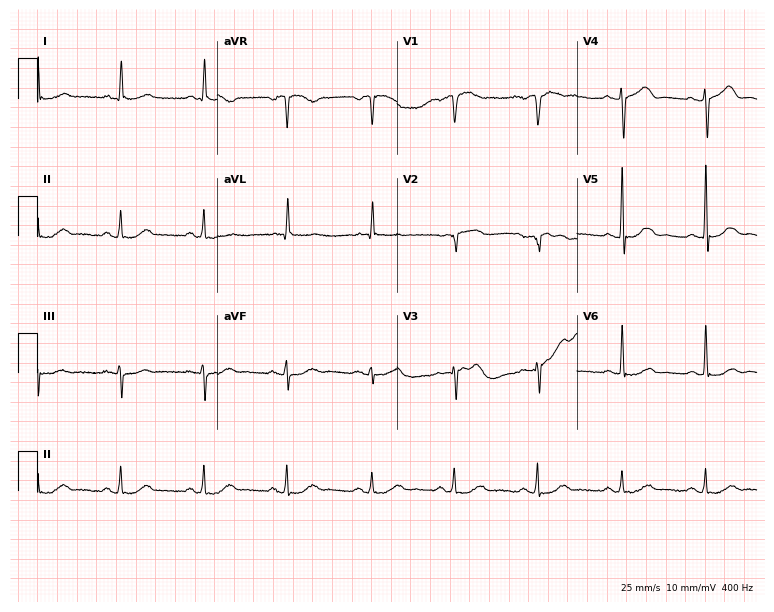
12-lead ECG from a male patient, 72 years old (7.3-second recording at 400 Hz). No first-degree AV block, right bundle branch block, left bundle branch block, sinus bradycardia, atrial fibrillation or sinus tachycardia recorded for this tracing.